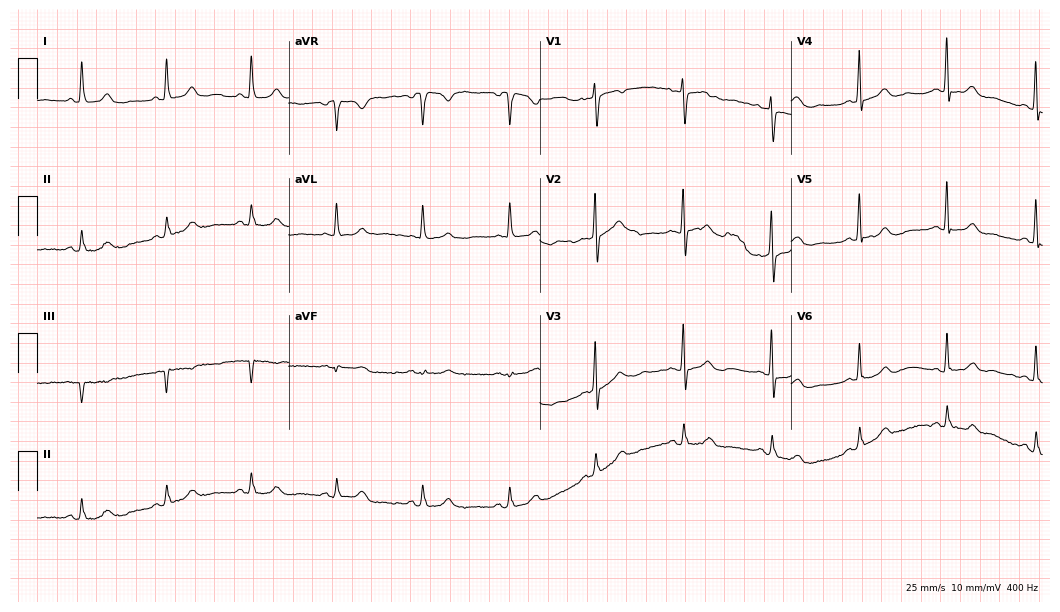
12-lead ECG from a female, 73 years old (10.2-second recording at 400 Hz). Recorded interpretation: within normal limits.